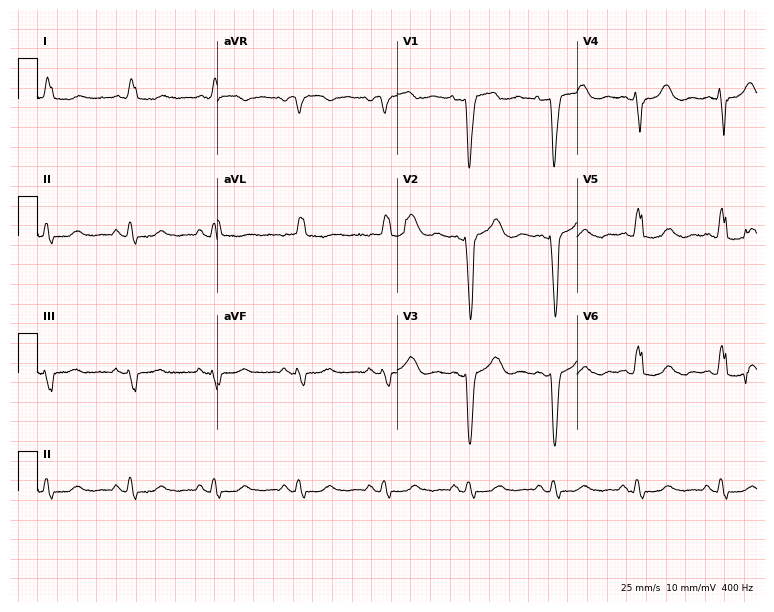
12-lead ECG from a woman, 82 years old (7.3-second recording at 400 Hz). Shows left bundle branch block.